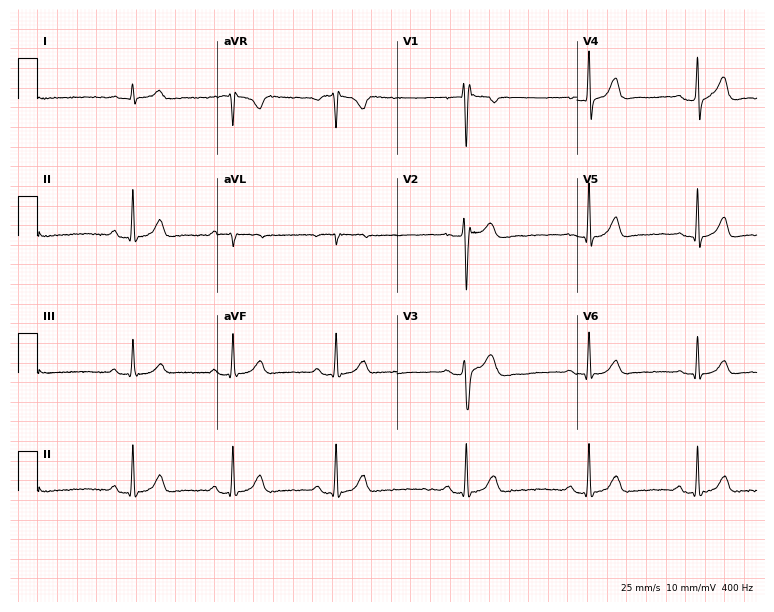
ECG — a 29-year-old male. Labelled as a normal ECG.